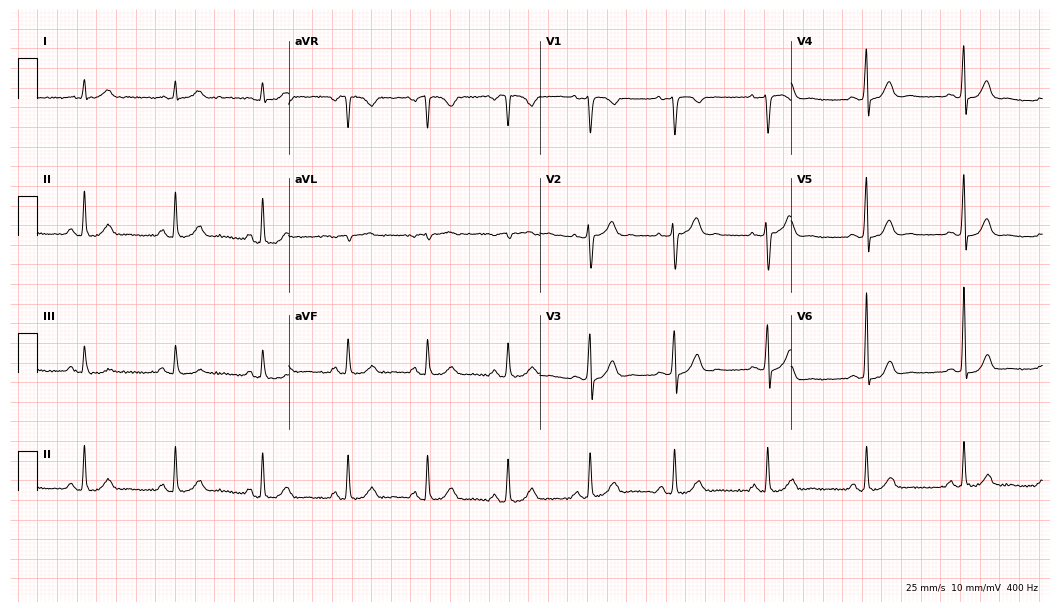
12-lead ECG (10.2-second recording at 400 Hz) from a man, 53 years old. Labelled as a normal ECG.